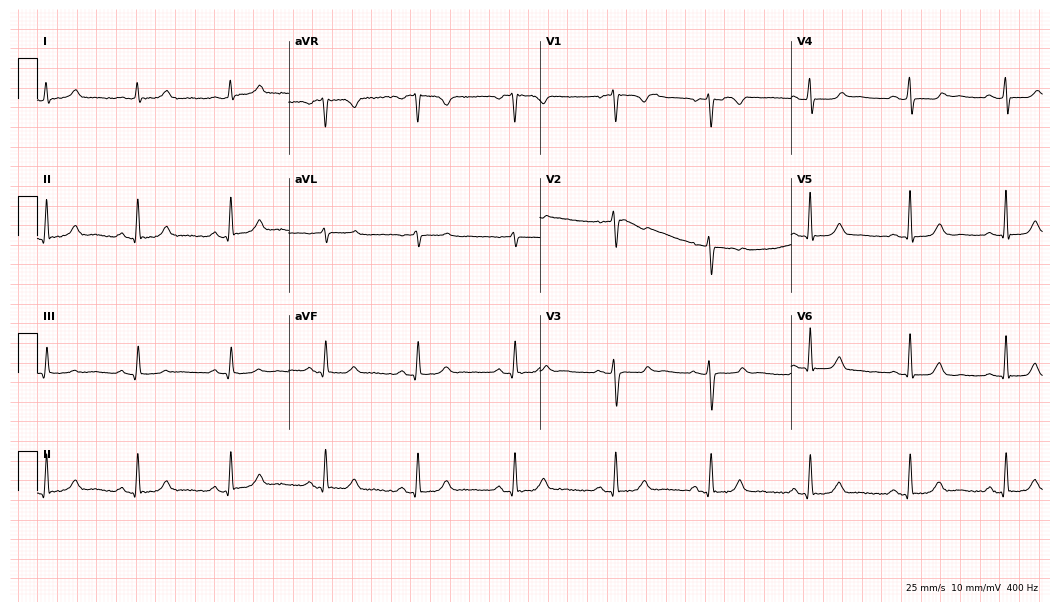
Resting 12-lead electrocardiogram (10.2-second recording at 400 Hz). Patient: a female, 45 years old. Read as a normal ECG.